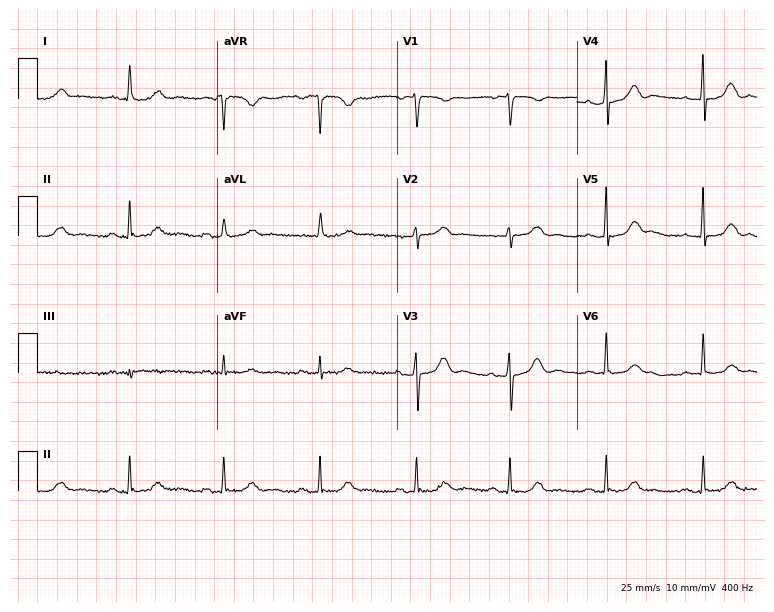
12-lead ECG from a female, 74 years old (7.3-second recording at 400 Hz). No first-degree AV block, right bundle branch block, left bundle branch block, sinus bradycardia, atrial fibrillation or sinus tachycardia recorded for this tracing. Other findings, if any, are not listed.